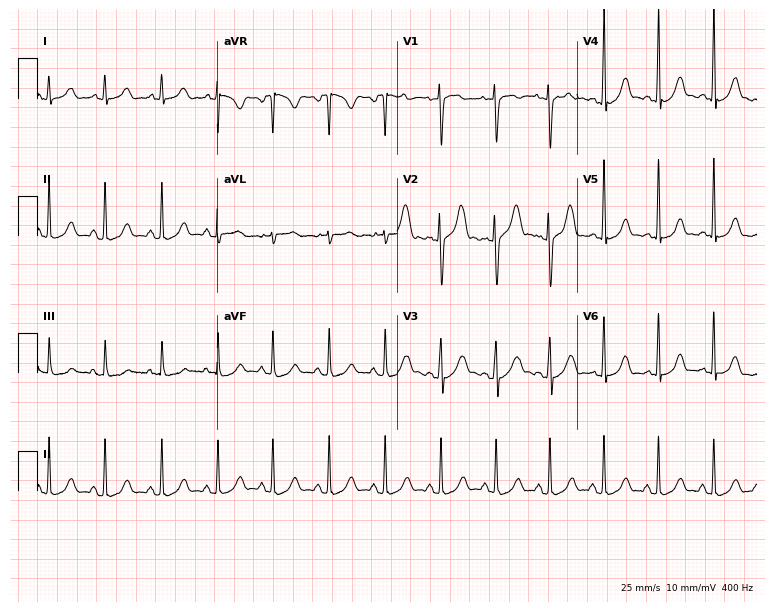
Resting 12-lead electrocardiogram. Patient: a female, 21 years old. The tracing shows sinus tachycardia (a sinus rate of 100 beats per minute or more).